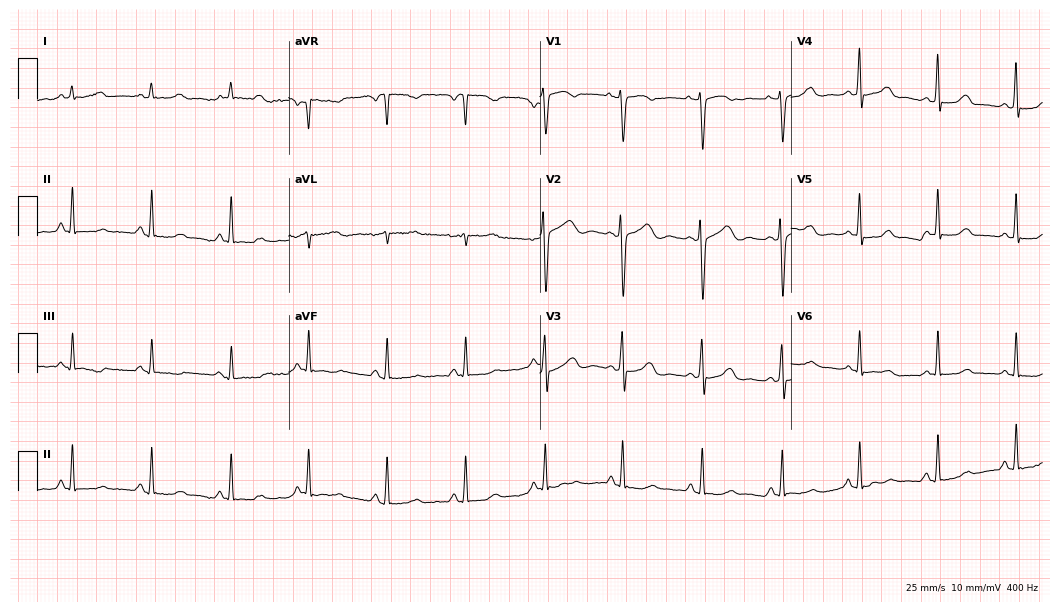
Electrocardiogram, a woman, 48 years old. Overall reading on record: normal ECG.